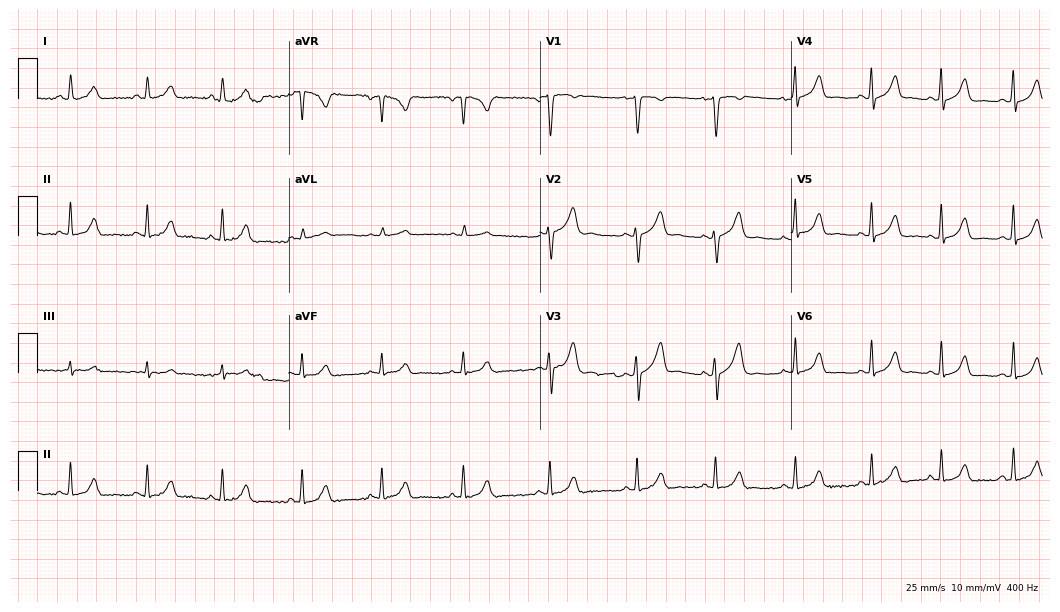
Resting 12-lead electrocardiogram (10.2-second recording at 400 Hz). Patient: a woman, 20 years old. Read as a normal ECG.